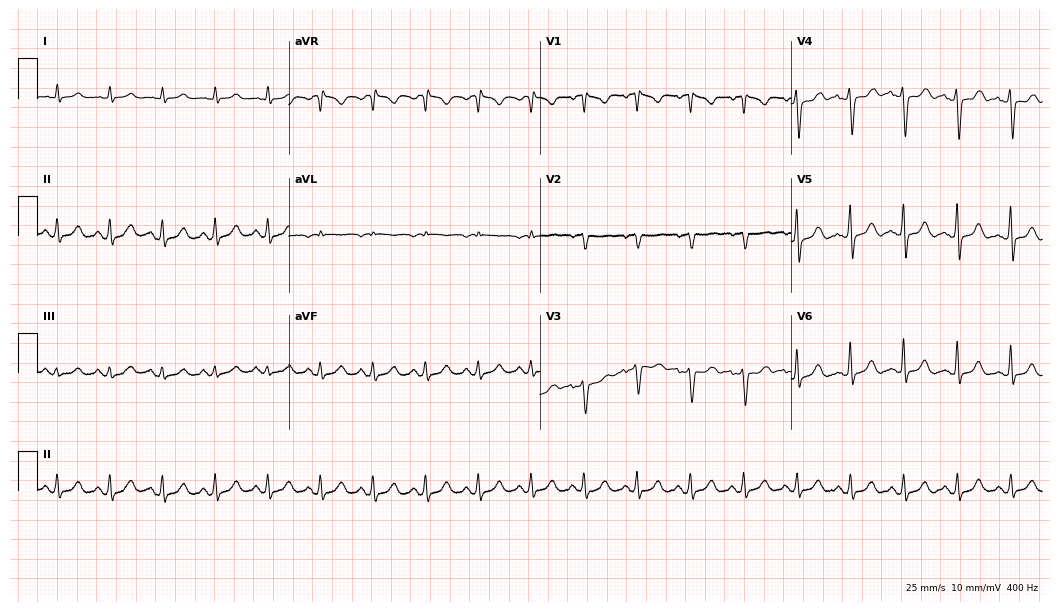
12-lead ECG (10.2-second recording at 400 Hz) from a 62-year-old female patient. Findings include sinus tachycardia (a sinus rate of 100 beats per minute or more).